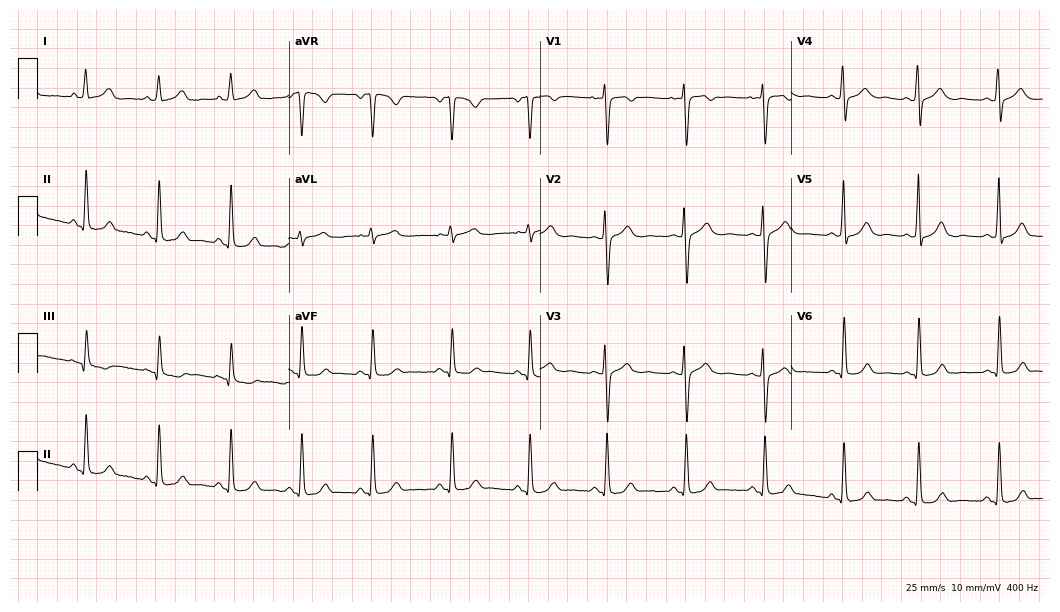
ECG (10.2-second recording at 400 Hz) — a 30-year-old female. Labelled as a normal ECG.